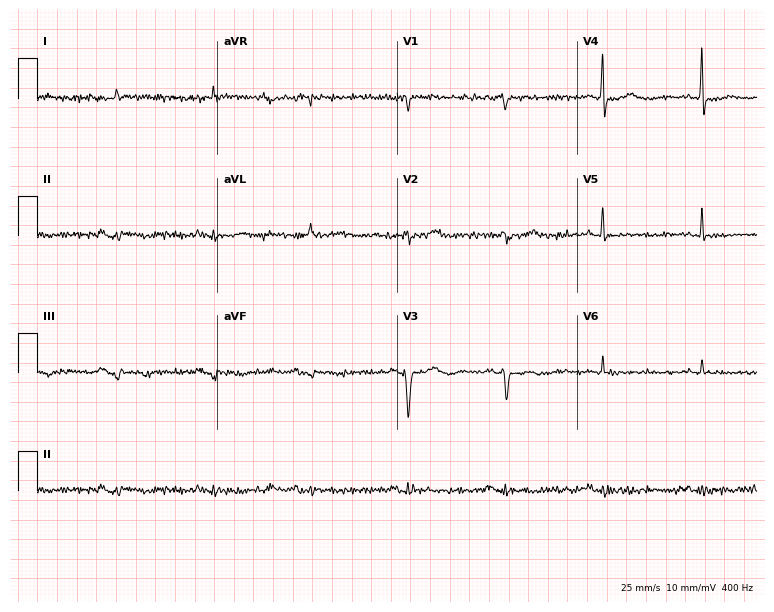
Resting 12-lead electrocardiogram (7.3-second recording at 400 Hz). Patient: an 83-year-old male. None of these six findings is recorded: first-degree AV block, right bundle branch block (RBBB), left bundle branch block (LBBB), sinus bradycardia, atrial fibrillation (AF), sinus tachycardia. Findings outside these six are not listed.